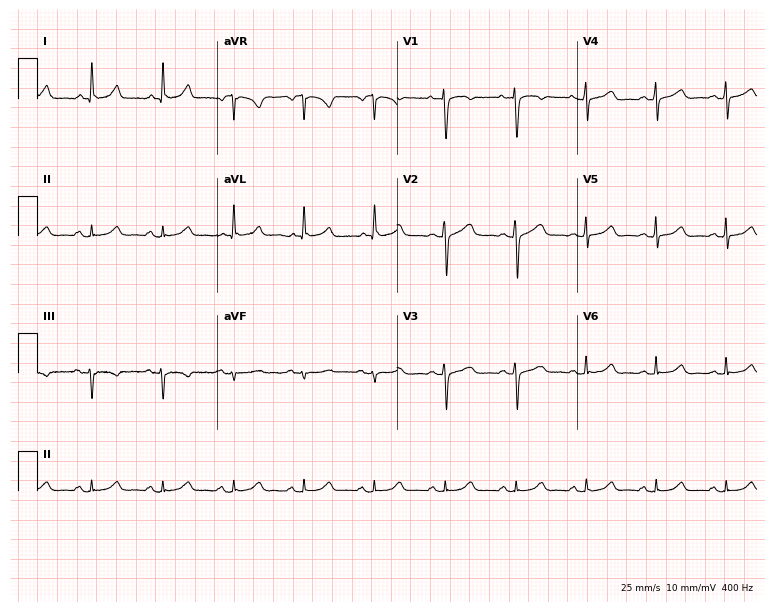
12-lead ECG from a 63-year-old female. Screened for six findings — first-degree AV block, right bundle branch block, left bundle branch block, sinus bradycardia, atrial fibrillation, sinus tachycardia — none is recorded. Other findings, if any, are not listed.